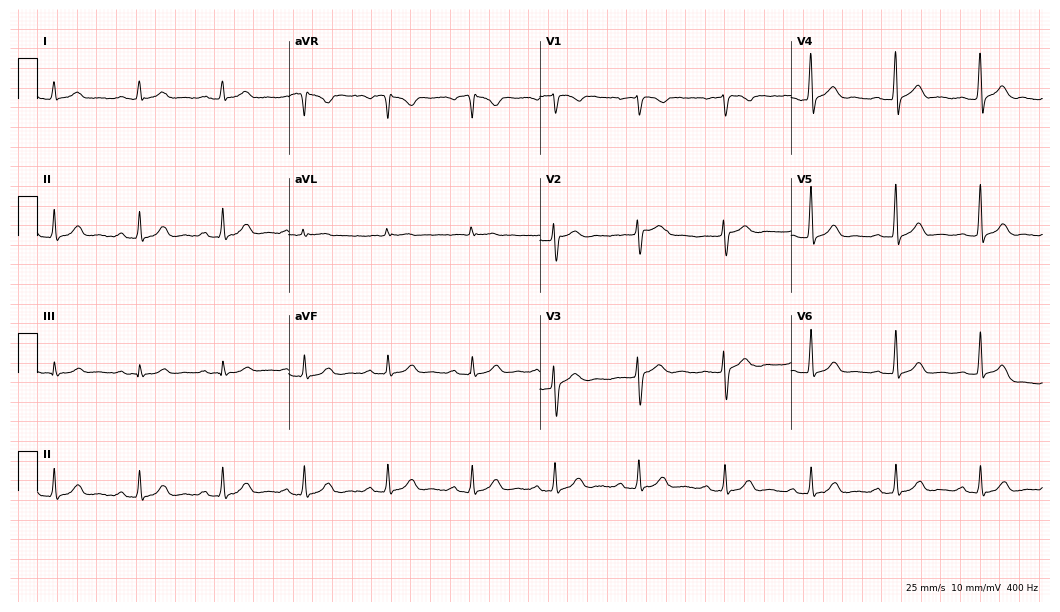
Resting 12-lead electrocardiogram. Patient: a 41-year-old male. None of these six findings is recorded: first-degree AV block, right bundle branch block, left bundle branch block, sinus bradycardia, atrial fibrillation, sinus tachycardia.